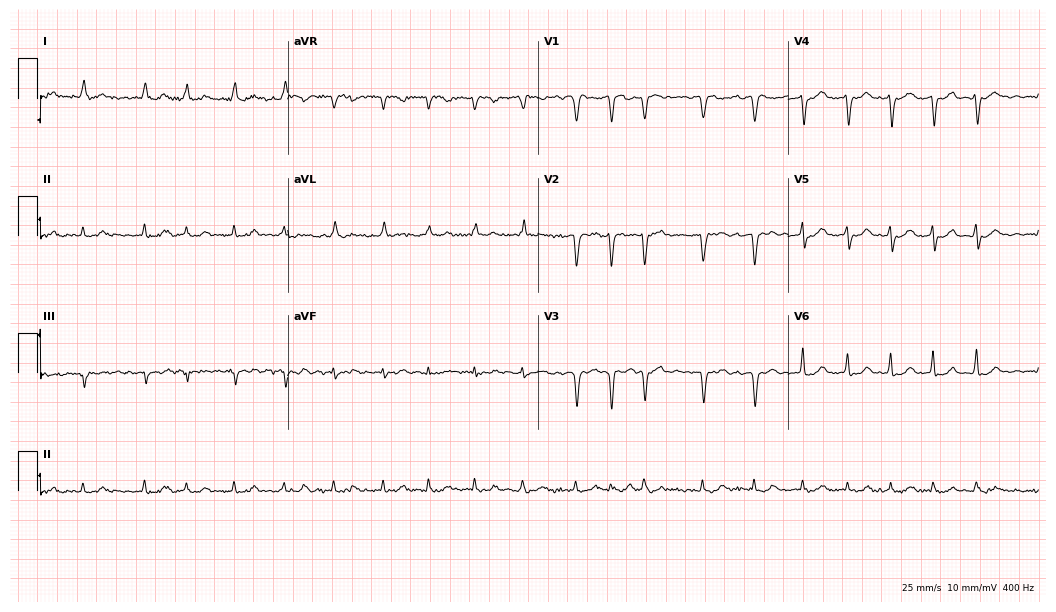
Resting 12-lead electrocardiogram. Patient: a female, 81 years old. None of these six findings is recorded: first-degree AV block, right bundle branch block, left bundle branch block, sinus bradycardia, atrial fibrillation, sinus tachycardia.